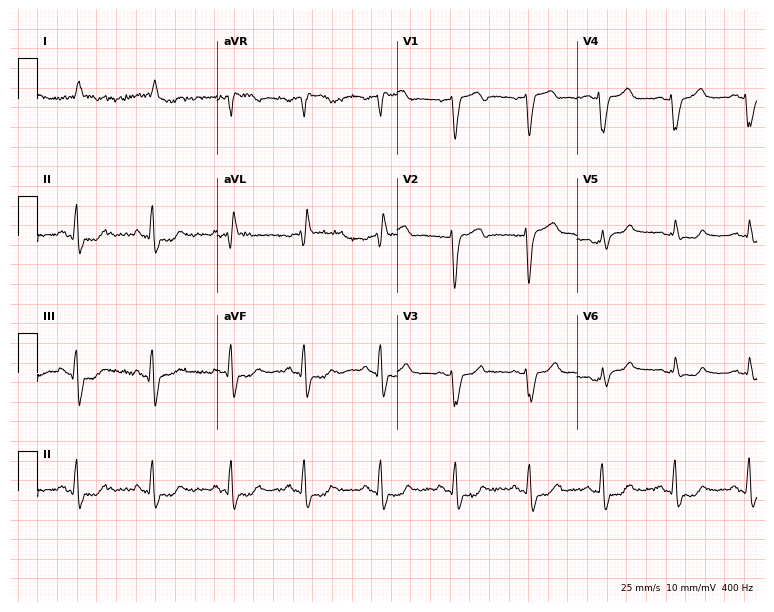
12-lead ECG from a 74-year-old man. Shows left bundle branch block.